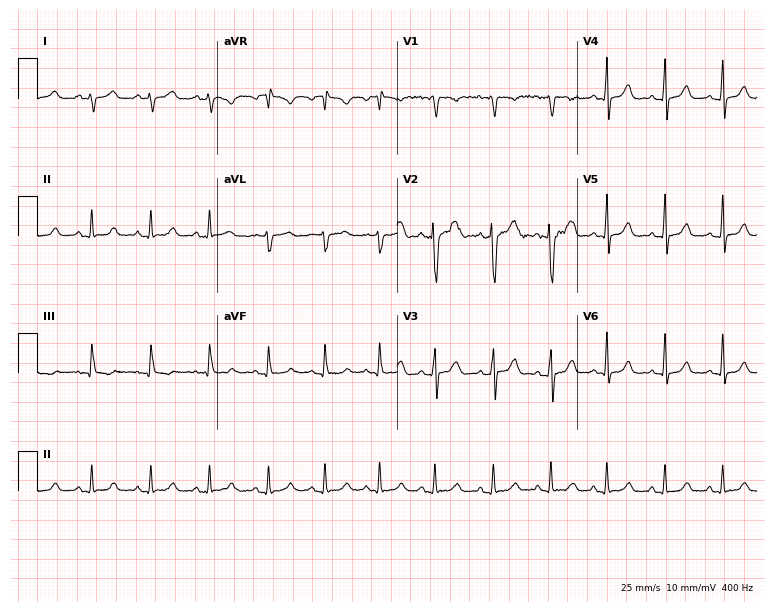
12-lead ECG from a woman, 32 years old. Shows sinus tachycardia (a sinus rate of 100 beats per minute or more).